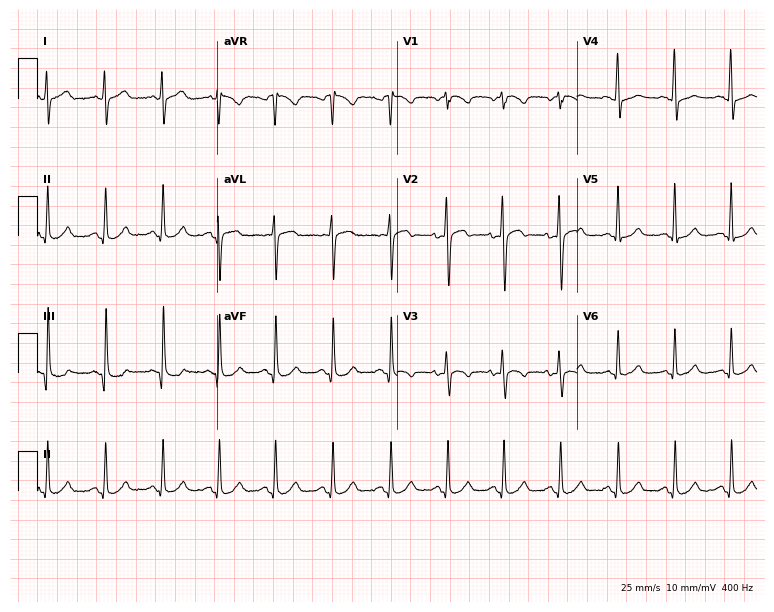
ECG — a female, 44 years old. Labelled as a normal ECG.